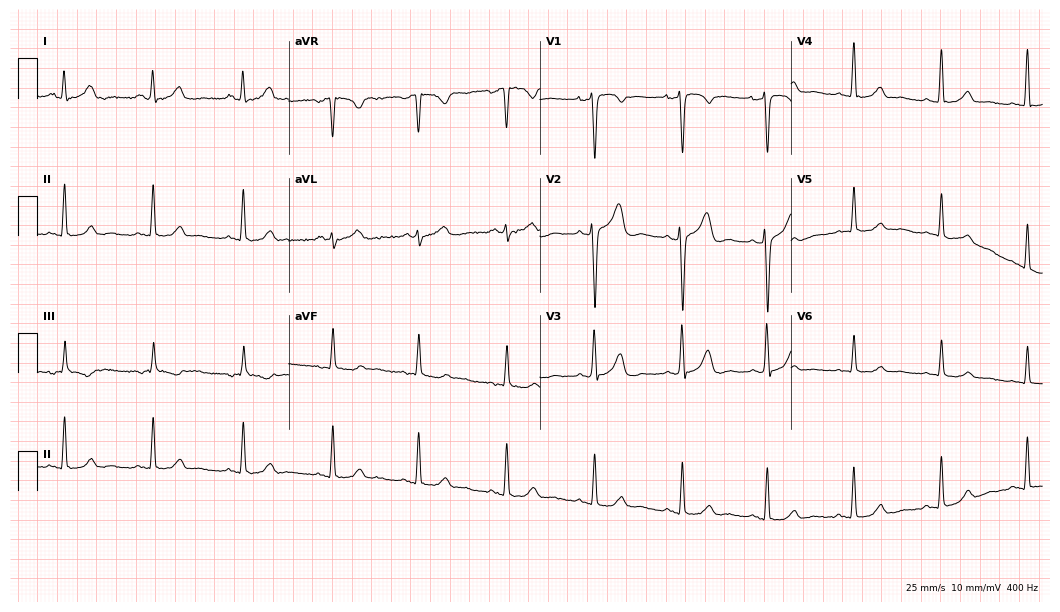
Standard 12-lead ECG recorded from a woman, 32 years old. None of these six findings is recorded: first-degree AV block, right bundle branch block (RBBB), left bundle branch block (LBBB), sinus bradycardia, atrial fibrillation (AF), sinus tachycardia.